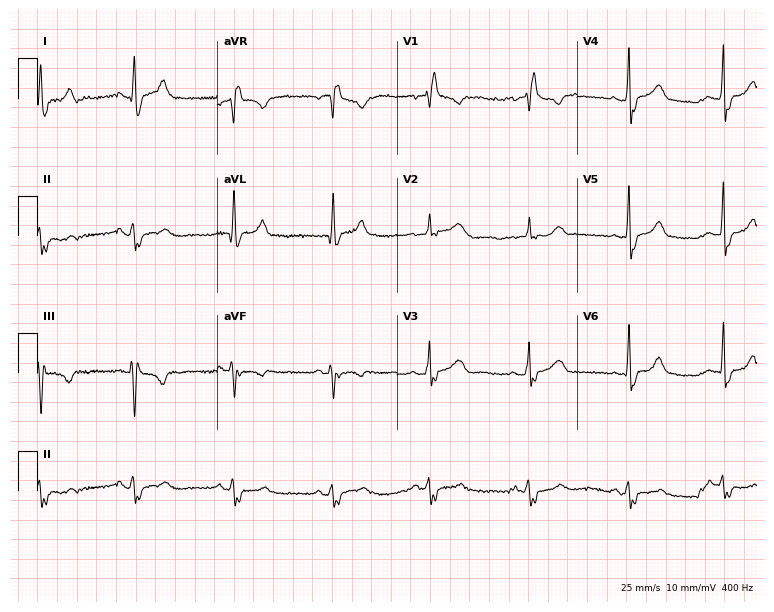
ECG — a woman, 38 years old. Findings include right bundle branch block.